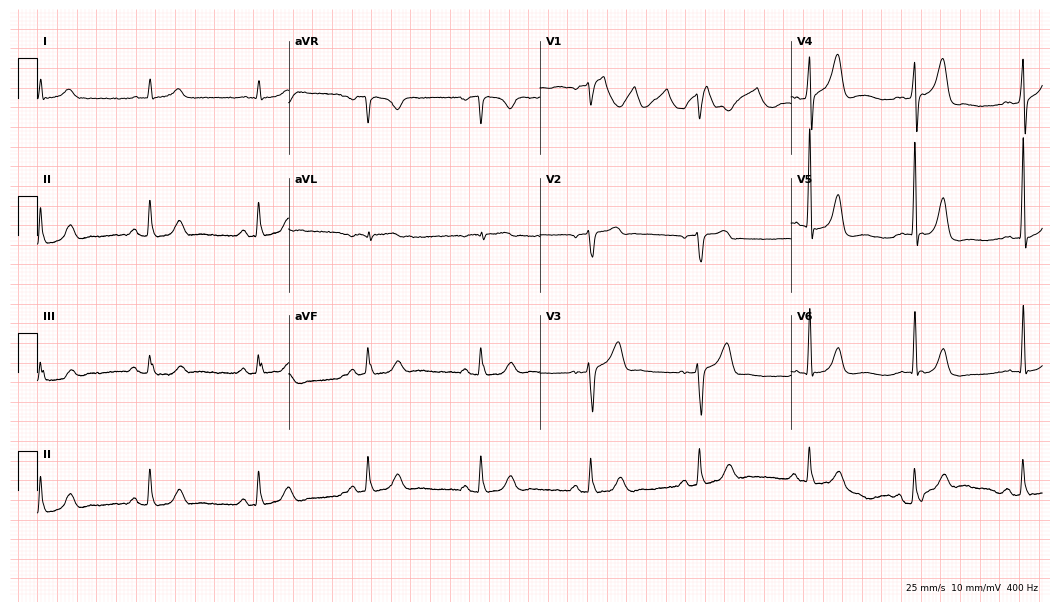
12-lead ECG from a 61-year-old male patient. No first-degree AV block, right bundle branch block, left bundle branch block, sinus bradycardia, atrial fibrillation or sinus tachycardia recorded for this tracing. Other findings, if any, are not listed.